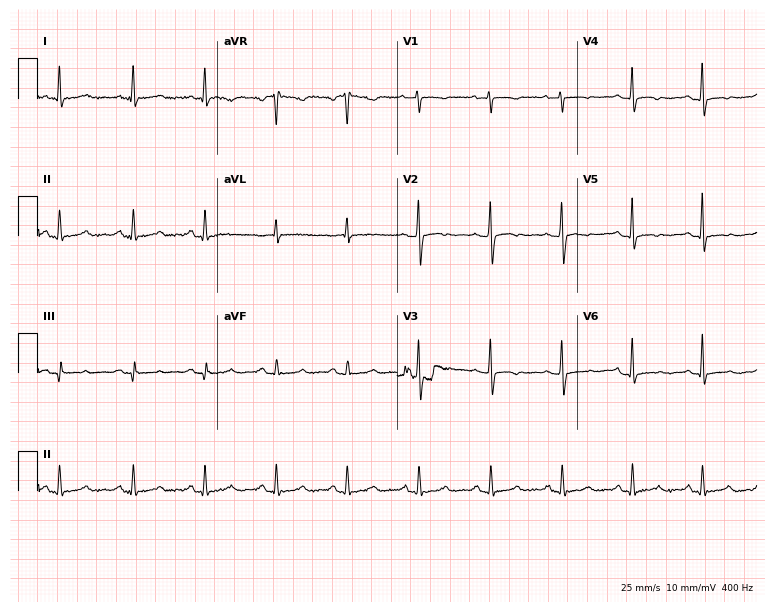
12-lead ECG from a 49-year-old female. Screened for six findings — first-degree AV block, right bundle branch block, left bundle branch block, sinus bradycardia, atrial fibrillation, sinus tachycardia — none is recorded.